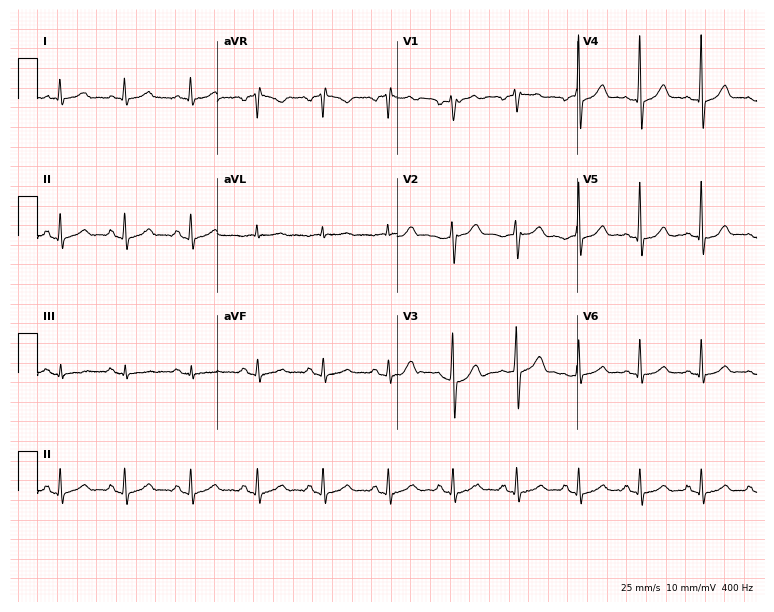
12-lead ECG from a man, 59 years old. No first-degree AV block, right bundle branch block, left bundle branch block, sinus bradycardia, atrial fibrillation or sinus tachycardia recorded for this tracing.